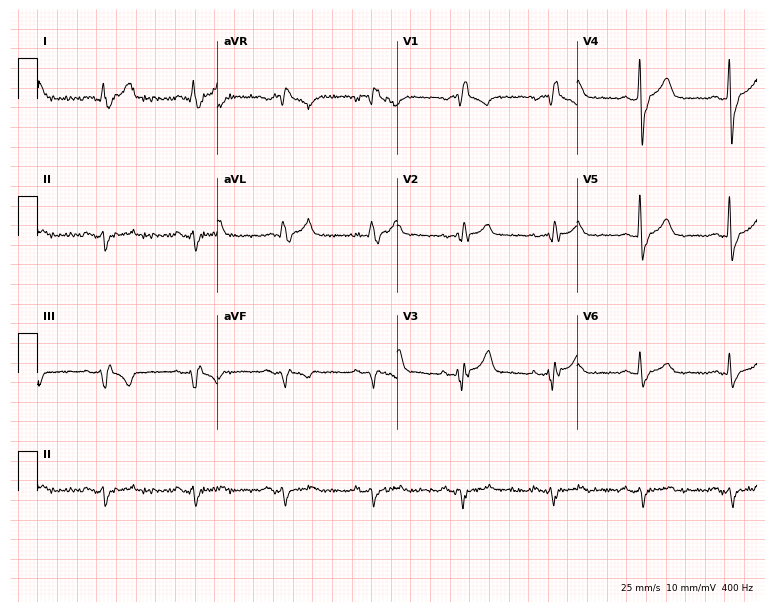
12-lead ECG from a 65-year-old male. Findings include right bundle branch block.